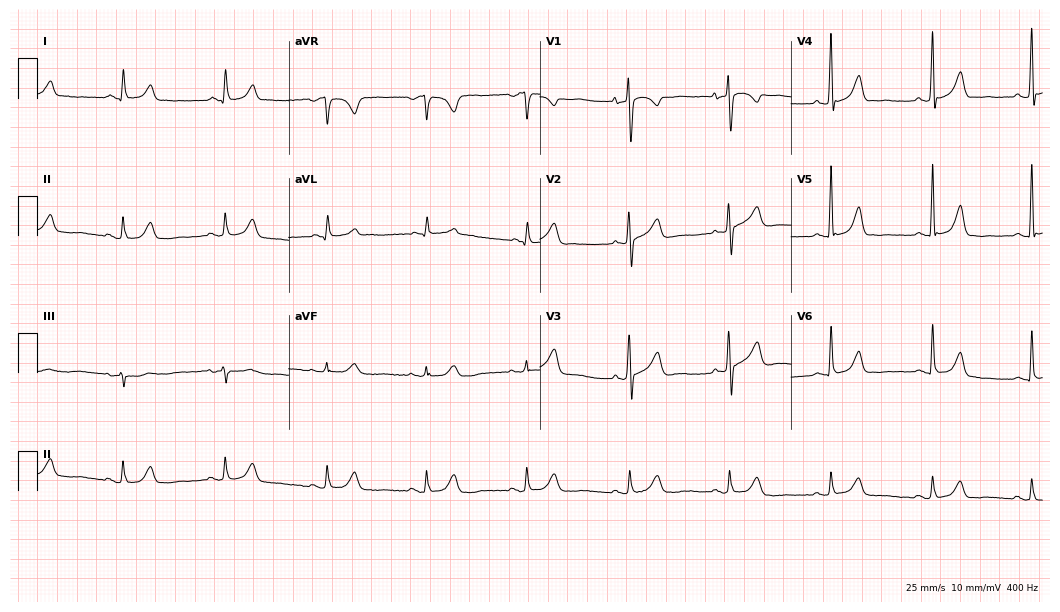
ECG (10.2-second recording at 400 Hz) — a 74-year-old female. Labelled as a normal ECG.